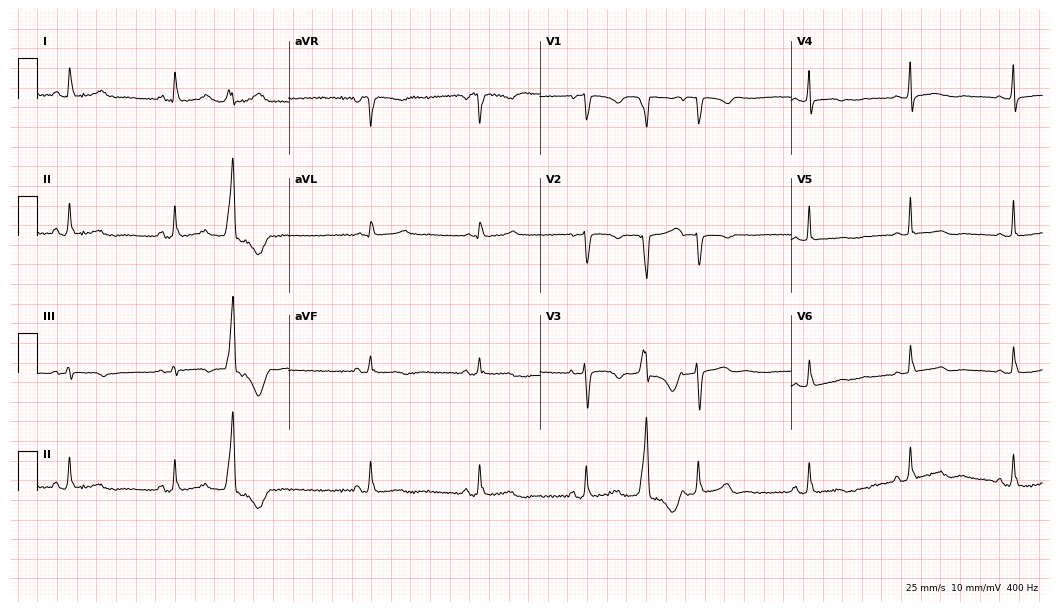
12-lead ECG (10.2-second recording at 400 Hz) from a woman, 54 years old. Labelled as a normal ECG.